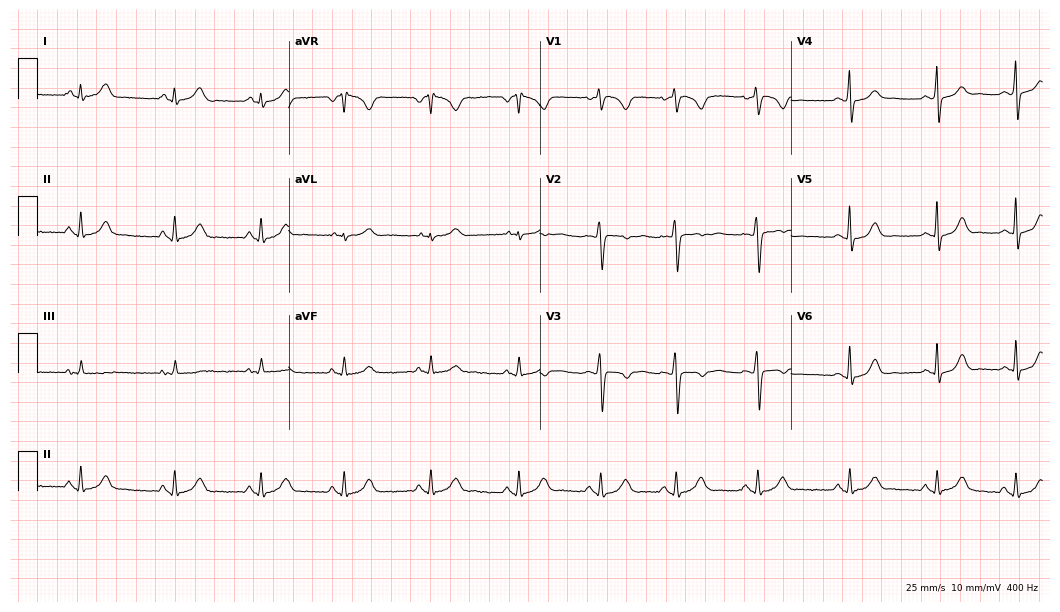
ECG (10.2-second recording at 400 Hz) — a female patient, 32 years old. Labelled as a normal ECG.